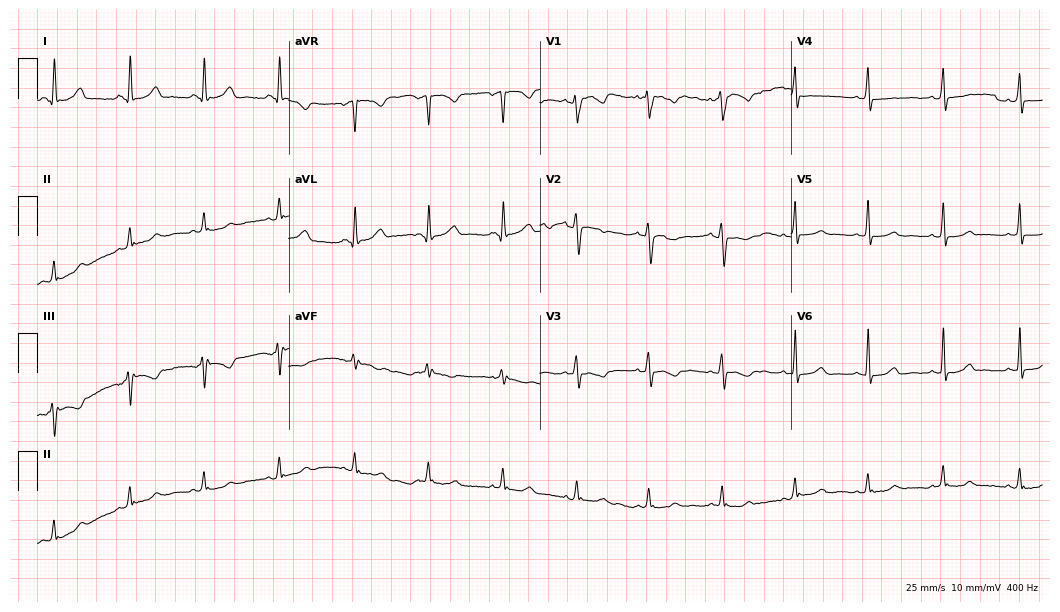
12-lead ECG from a 38-year-old woman. No first-degree AV block, right bundle branch block (RBBB), left bundle branch block (LBBB), sinus bradycardia, atrial fibrillation (AF) or sinus tachycardia recorded for this tracing. Other findings, if any, are not listed.